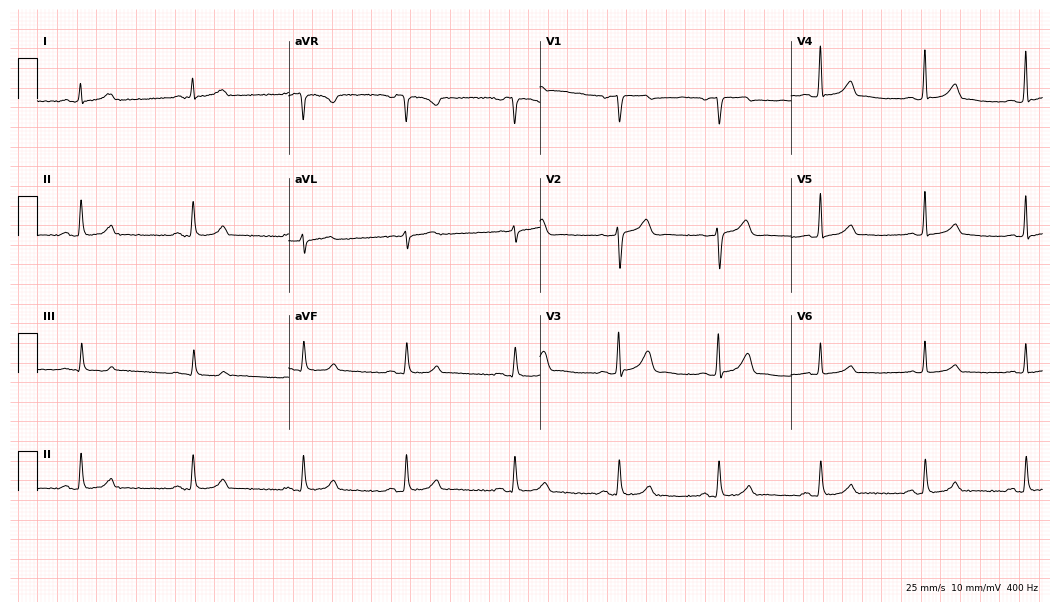
ECG — a 47-year-old man. Screened for six findings — first-degree AV block, right bundle branch block (RBBB), left bundle branch block (LBBB), sinus bradycardia, atrial fibrillation (AF), sinus tachycardia — none is recorded. Findings outside these six are not listed.